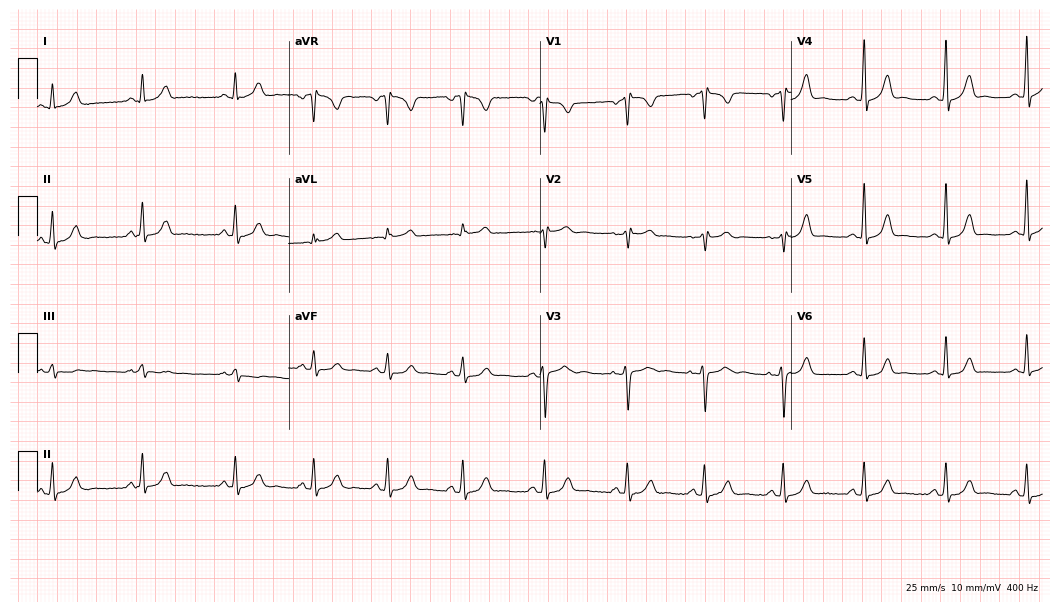
Standard 12-lead ECG recorded from a 28-year-old female (10.2-second recording at 400 Hz). None of these six findings is recorded: first-degree AV block, right bundle branch block (RBBB), left bundle branch block (LBBB), sinus bradycardia, atrial fibrillation (AF), sinus tachycardia.